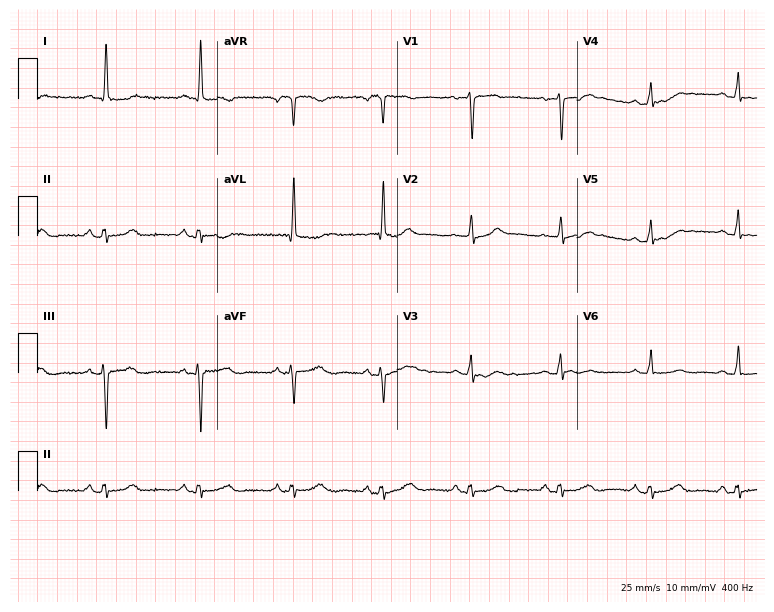
Electrocardiogram (7.3-second recording at 400 Hz), a woman, 60 years old. Of the six screened findings (first-degree AV block, right bundle branch block (RBBB), left bundle branch block (LBBB), sinus bradycardia, atrial fibrillation (AF), sinus tachycardia), none is recorded. Findings outside these six are not listed.